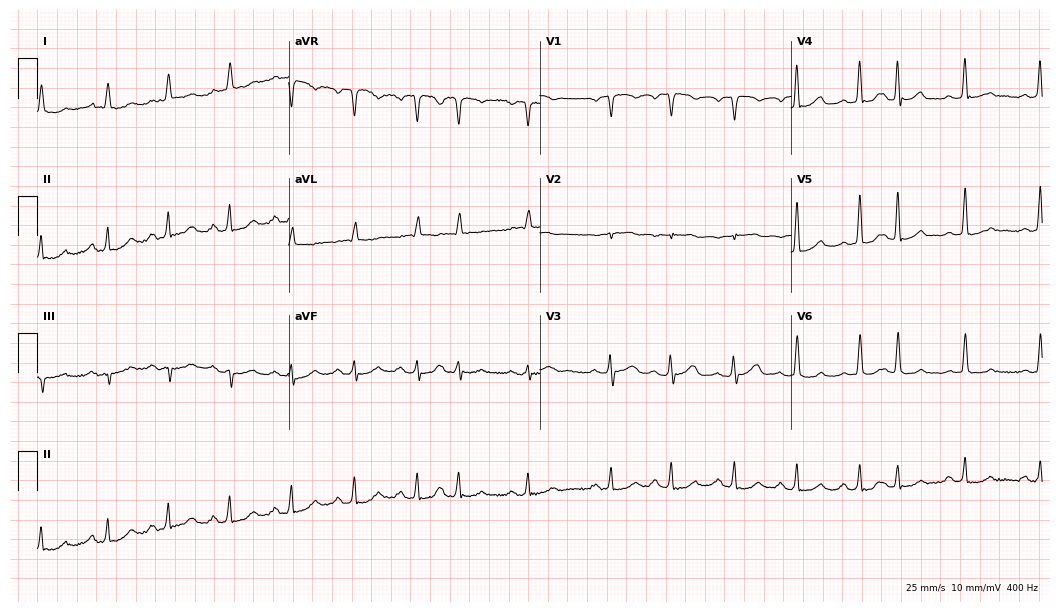
12-lead ECG (10.2-second recording at 400 Hz) from a male patient, 78 years old. Screened for six findings — first-degree AV block, right bundle branch block (RBBB), left bundle branch block (LBBB), sinus bradycardia, atrial fibrillation (AF), sinus tachycardia — none is recorded. Findings outside these six are not listed.